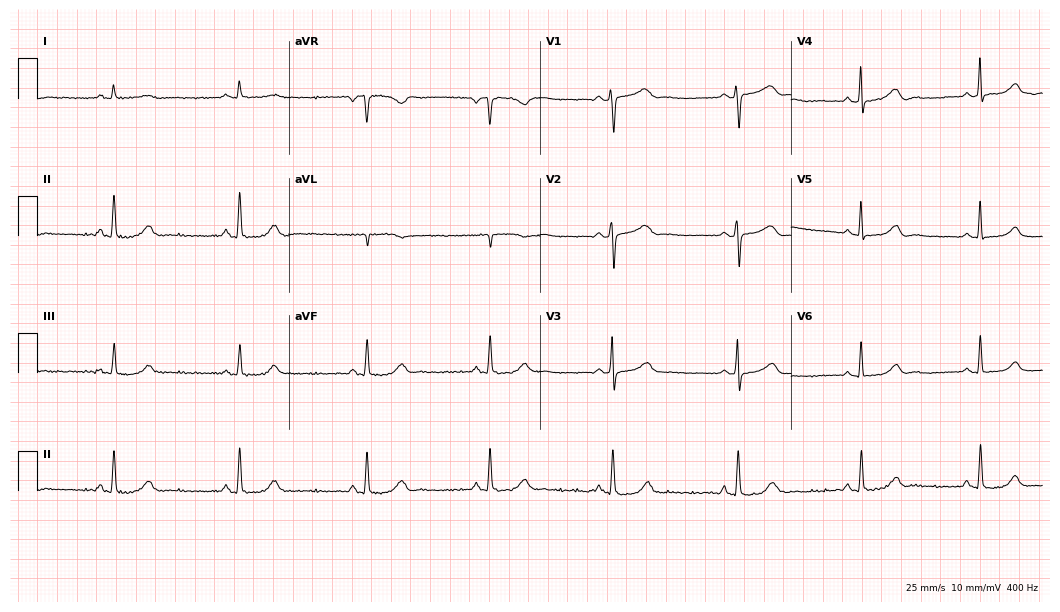
ECG (10.2-second recording at 400 Hz) — a 45-year-old woman. Findings include sinus bradycardia (a sinus rate of 50 beats per minute or less).